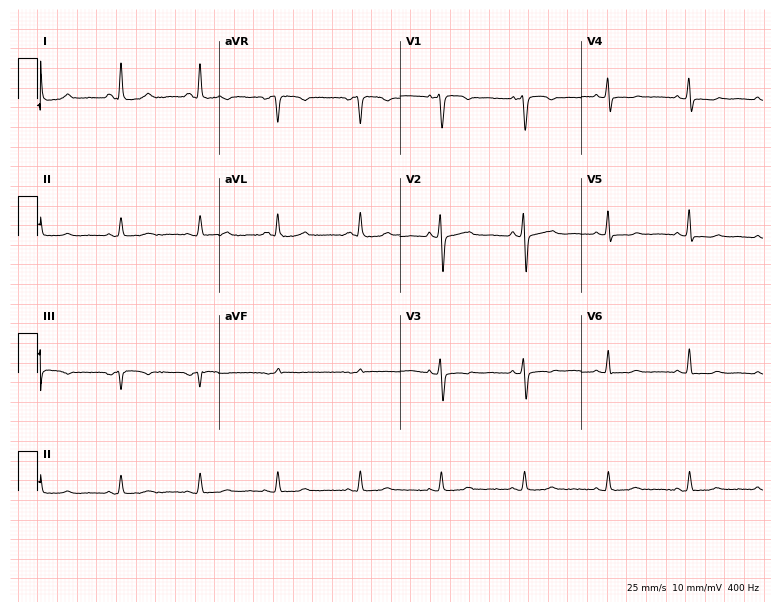
Standard 12-lead ECG recorded from a female, 62 years old (7.4-second recording at 400 Hz). Read as a normal ECG.